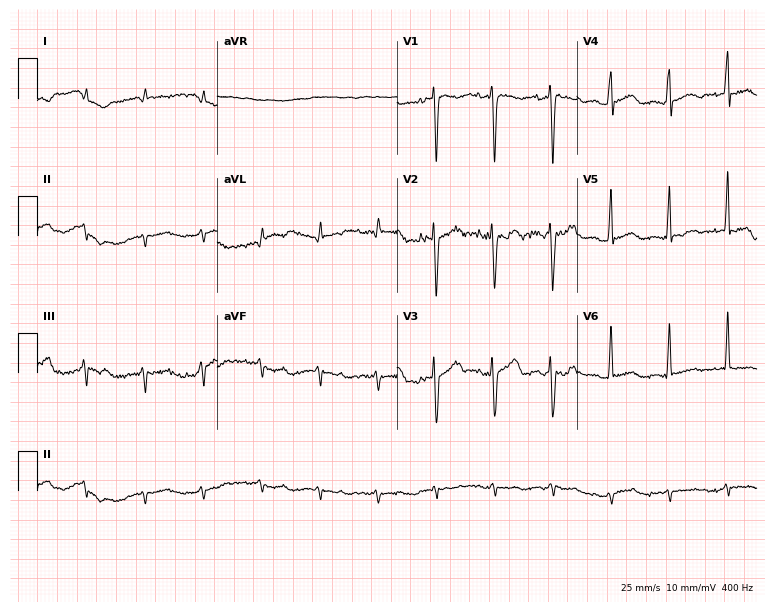
Standard 12-lead ECG recorded from a 34-year-old man (7.3-second recording at 400 Hz). The tracing shows sinus tachycardia (a sinus rate of 100 beats per minute or more).